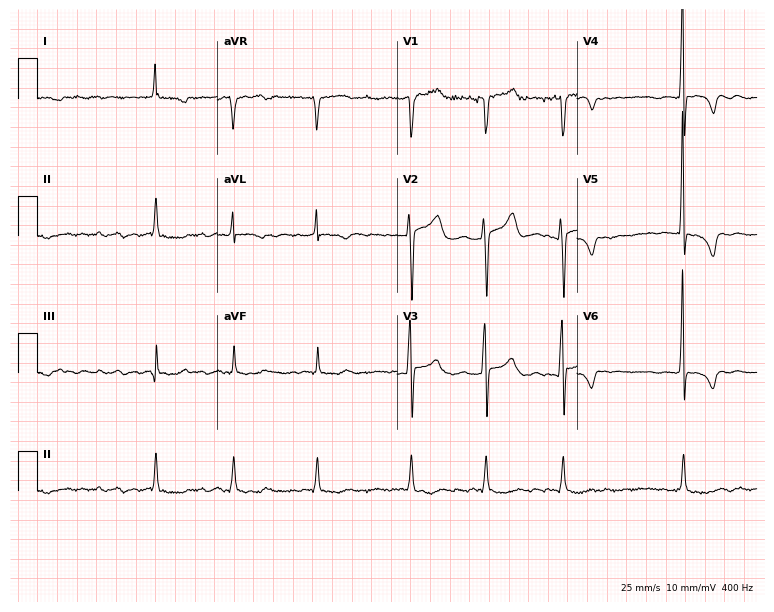
12-lead ECG from a 67-year-old male patient. Shows atrial fibrillation.